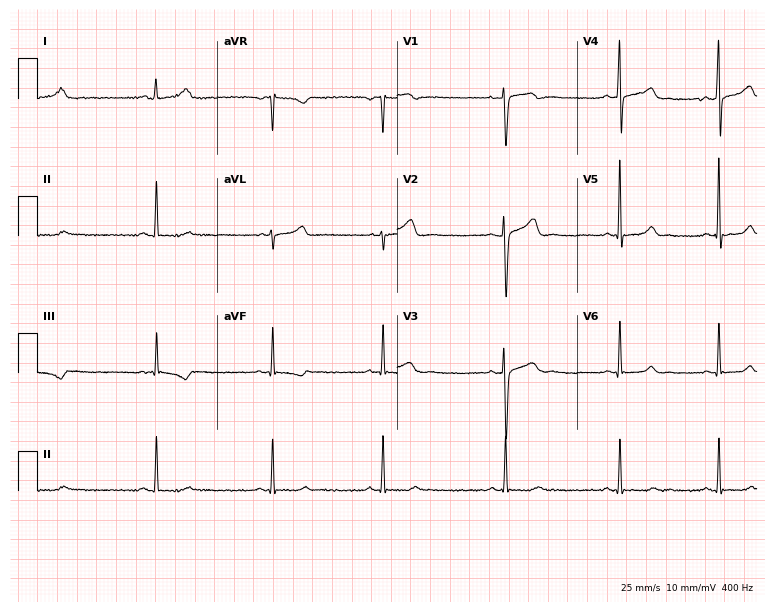
Resting 12-lead electrocardiogram (7.3-second recording at 400 Hz). Patient: a 25-year-old female. None of these six findings is recorded: first-degree AV block, right bundle branch block, left bundle branch block, sinus bradycardia, atrial fibrillation, sinus tachycardia.